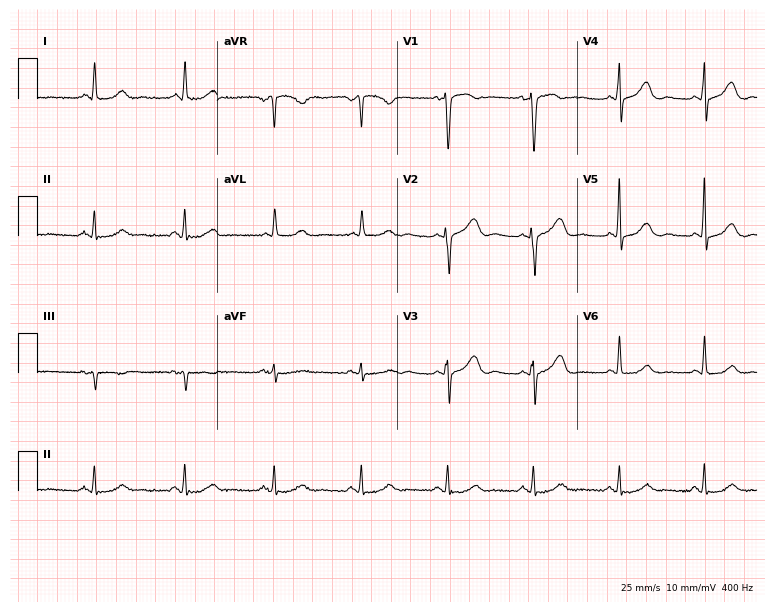
Electrocardiogram, a female patient, 48 years old. Of the six screened findings (first-degree AV block, right bundle branch block (RBBB), left bundle branch block (LBBB), sinus bradycardia, atrial fibrillation (AF), sinus tachycardia), none is recorded.